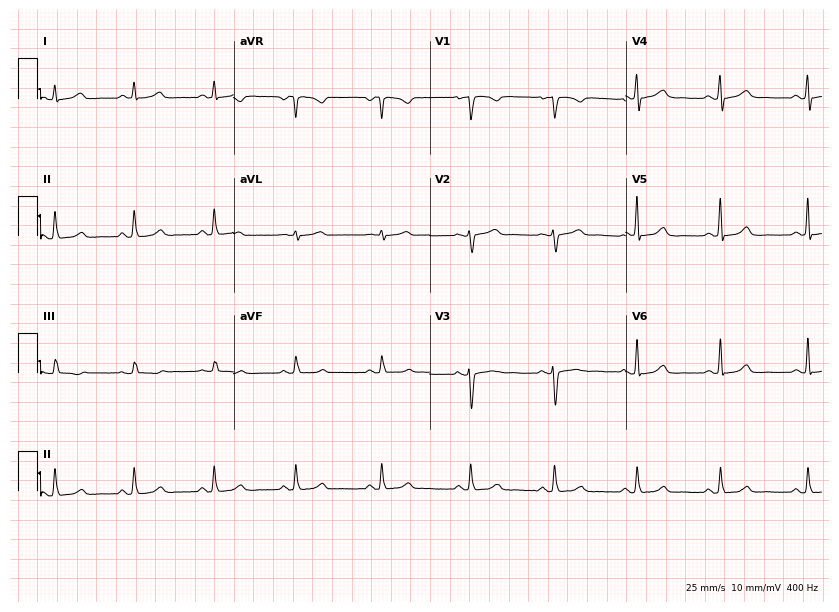
12-lead ECG from a 38-year-old female patient. Recorded interpretation: within normal limits.